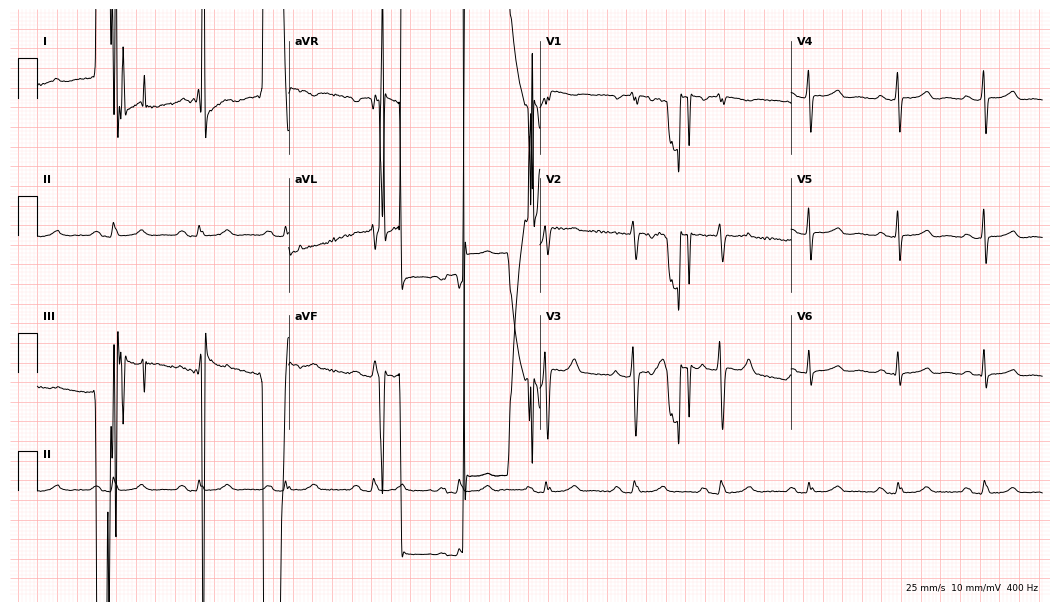
Standard 12-lead ECG recorded from a 63-year-old woman. None of these six findings is recorded: first-degree AV block, right bundle branch block, left bundle branch block, sinus bradycardia, atrial fibrillation, sinus tachycardia. Findings outside these six are not listed.